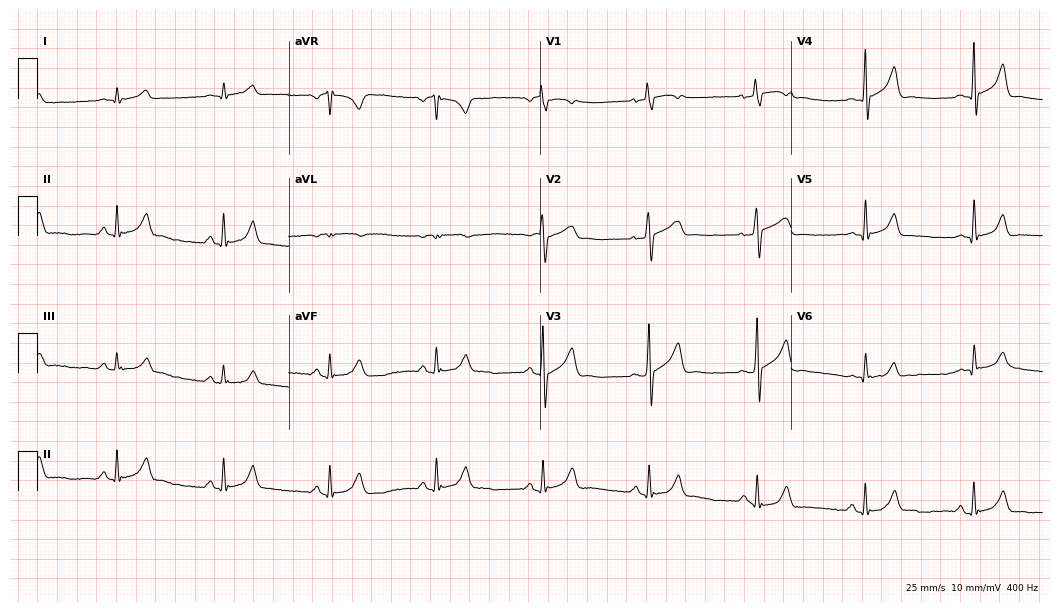
ECG — a 64-year-old man. Labelled as a normal ECG.